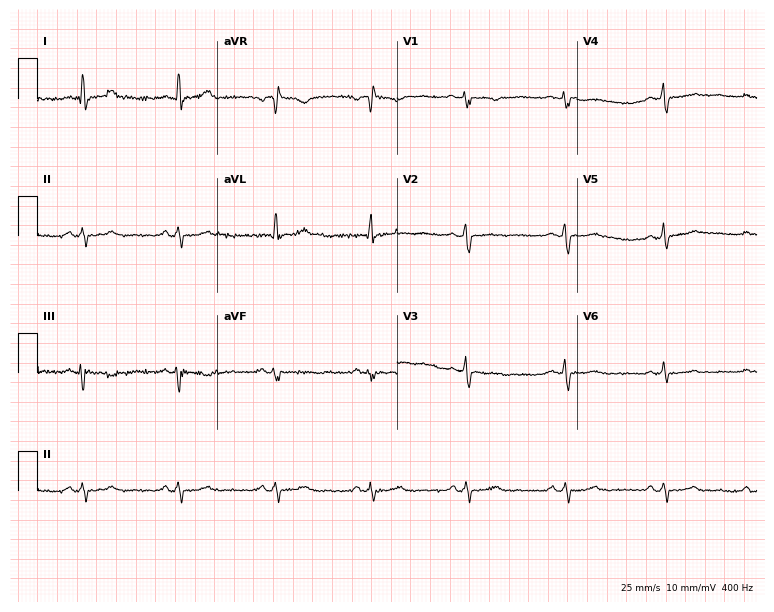
12-lead ECG from a 39-year-old female. Screened for six findings — first-degree AV block, right bundle branch block (RBBB), left bundle branch block (LBBB), sinus bradycardia, atrial fibrillation (AF), sinus tachycardia — none is recorded. Other findings, if any, are not listed.